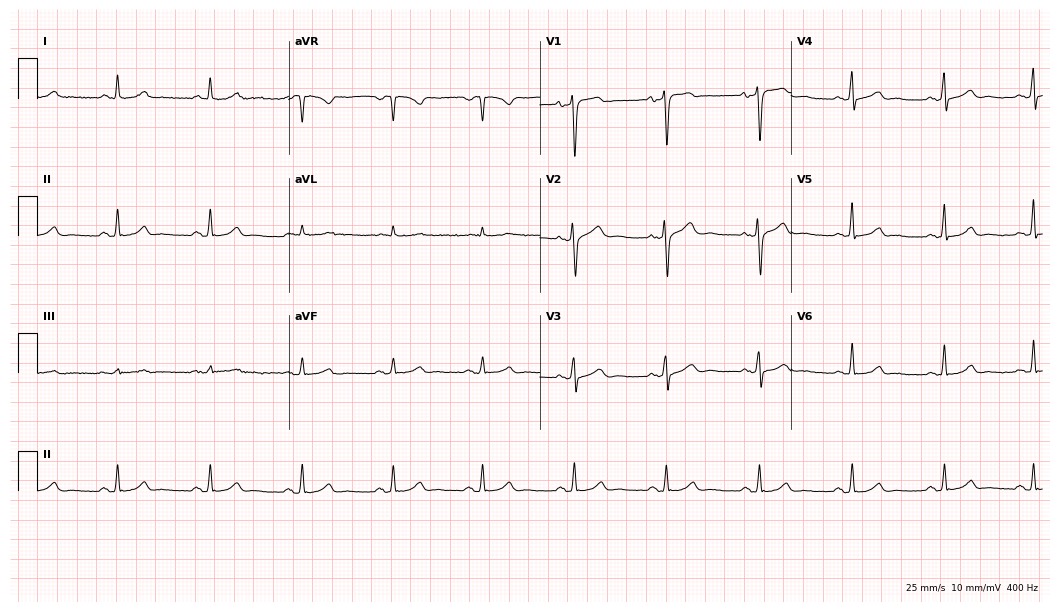
12-lead ECG (10.2-second recording at 400 Hz) from a 56-year-old man. Labelled as a normal ECG.